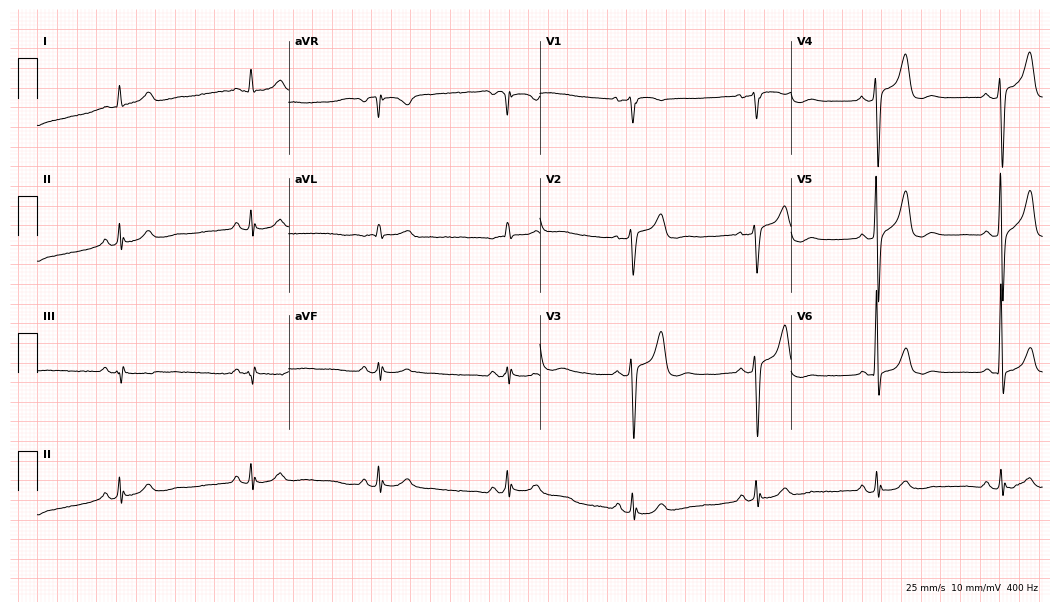
Electrocardiogram, a 76-year-old man. Overall reading on record: normal ECG.